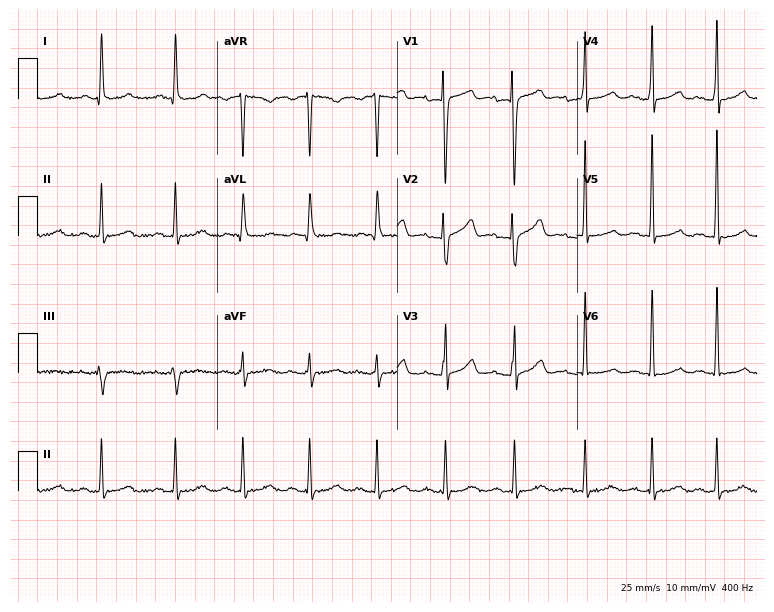
Resting 12-lead electrocardiogram (7.3-second recording at 400 Hz). Patient: a female, 73 years old. Read as a normal ECG.